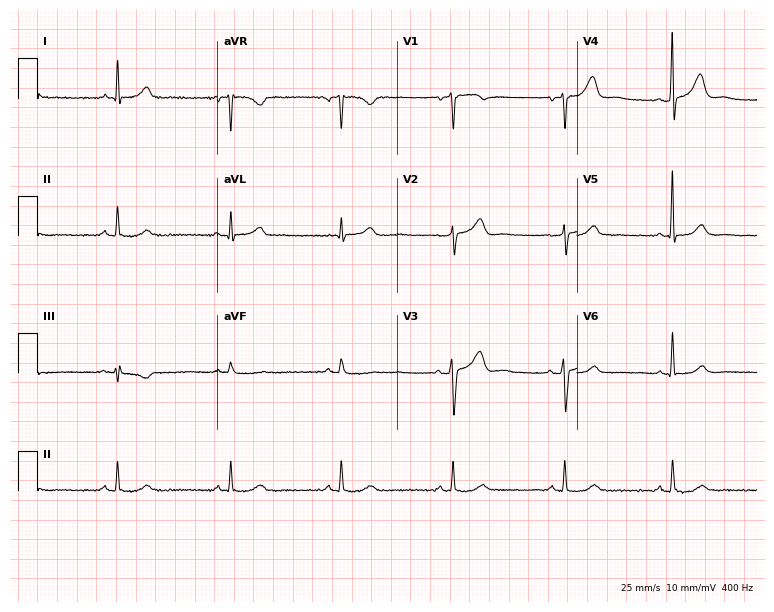
12-lead ECG (7.3-second recording at 400 Hz) from a 63-year-old male patient. Labelled as a normal ECG.